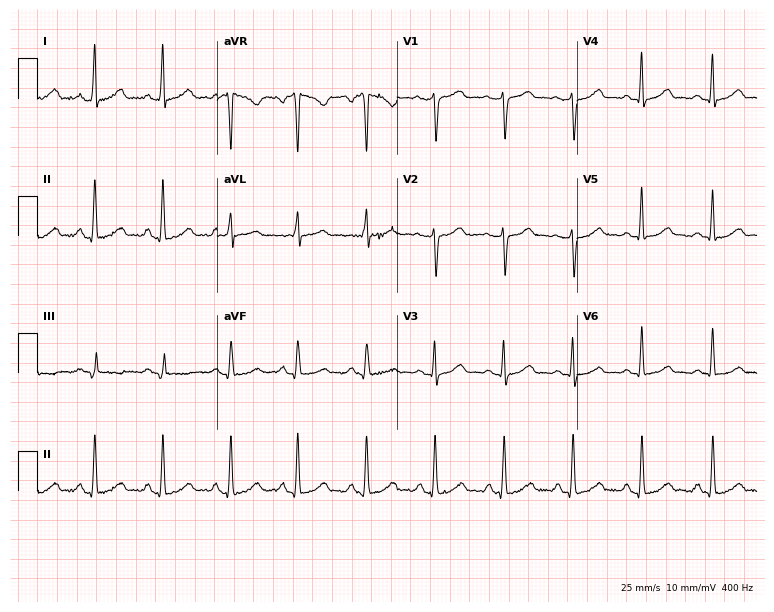
Resting 12-lead electrocardiogram (7.3-second recording at 400 Hz). Patient: a 33-year-old woman. None of these six findings is recorded: first-degree AV block, right bundle branch block (RBBB), left bundle branch block (LBBB), sinus bradycardia, atrial fibrillation (AF), sinus tachycardia.